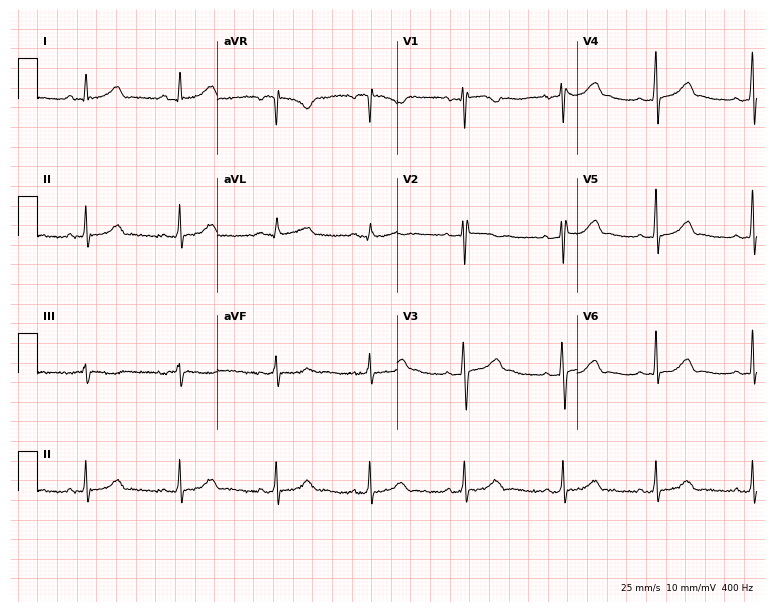
Standard 12-lead ECG recorded from a female patient, 24 years old. Read as a normal ECG.